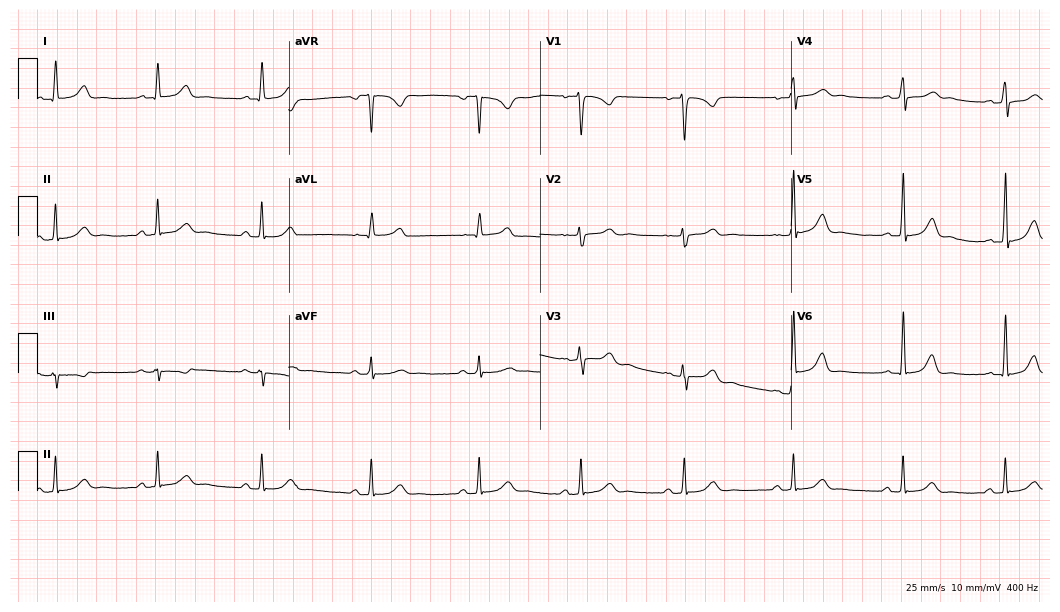
12-lead ECG from a woman, 34 years old. Labelled as a normal ECG.